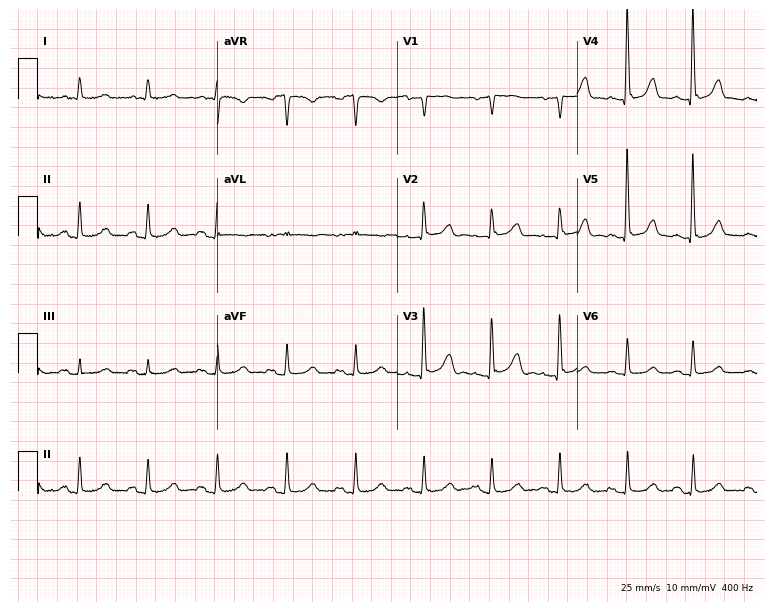
ECG (7.3-second recording at 400 Hz) — a female, 58 years old. Screened for six findings — first-degree AV block, right bundle branch block, left bundle branch block, sinus bradycardia, atrial fibrillation, sinus tachycardia — none is recorded. Findings outside these six are not listed.